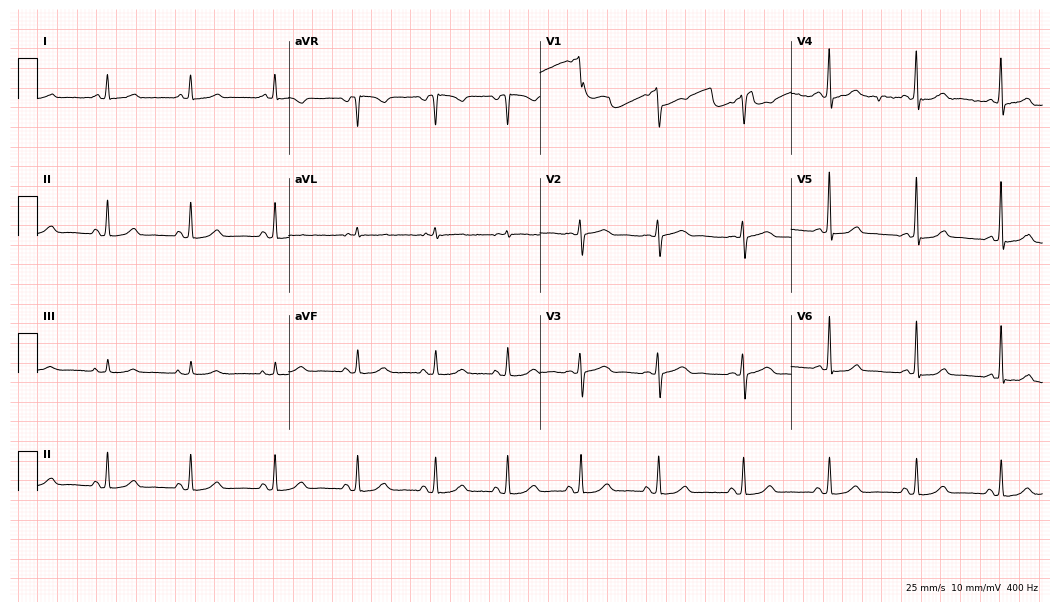
12-lead ECG from a female, 48 years old. Recorded interpretation: within normal limits.